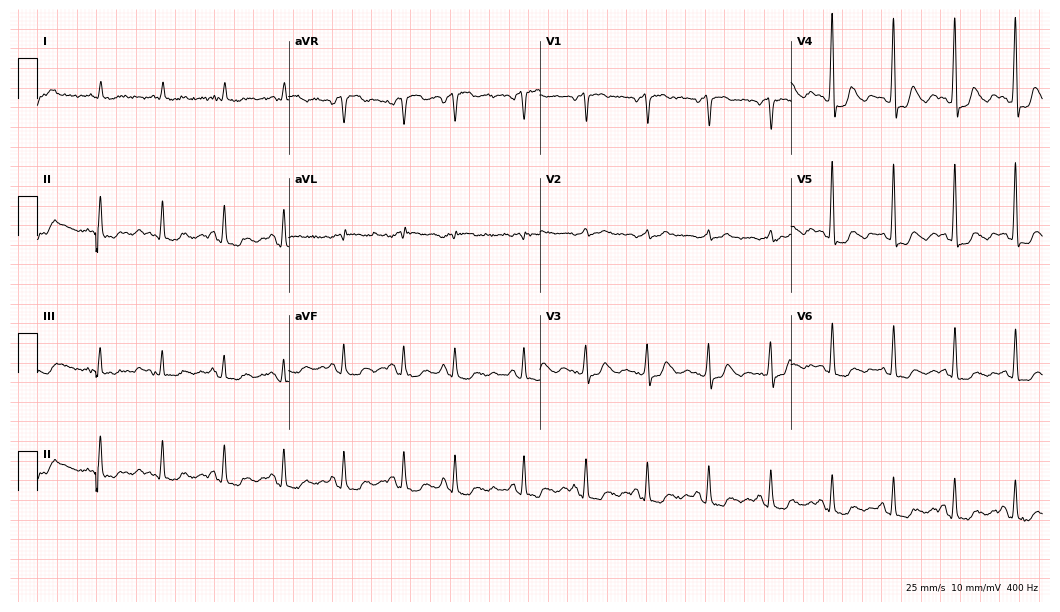
Resting 12-lead electrocardiogram. Patient: a man, 84 years old. None of these six findings is recorded: first-degree AV block, right bundle branch block, left bundle branch block, sinus bradycardia, atrial fibrillation, sinus tachycardia.